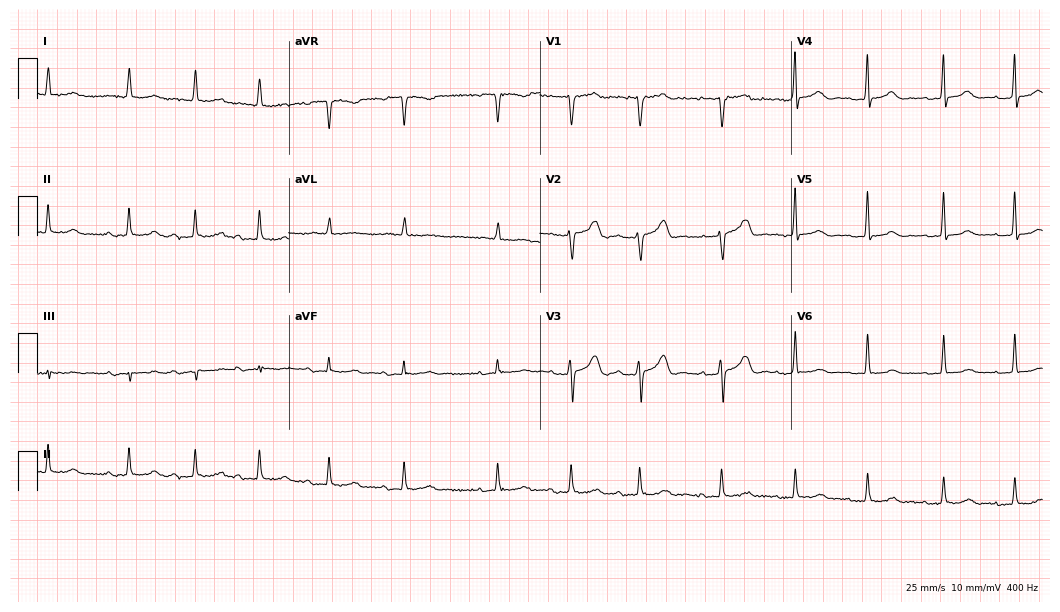
12-lead ECG from an 84-year-old female patient. No first-degree AV block, right bundle branch block, left bundle branch block, sinus bradycardia, atrial fibrillation or sinus tachycardia recorded for this tracing.